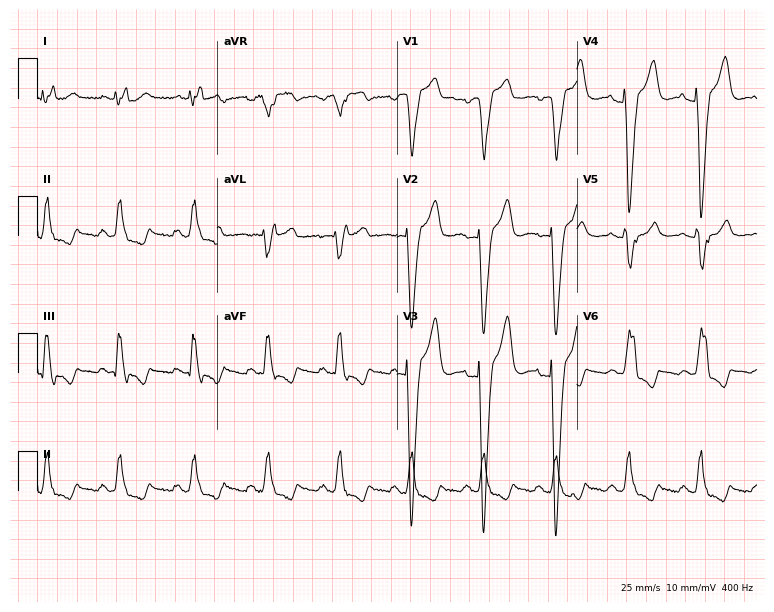
12-lead ECG (7.3-second recording at 400 Hz) from a 56-year-old female patient. Findings include left bundle branch block.